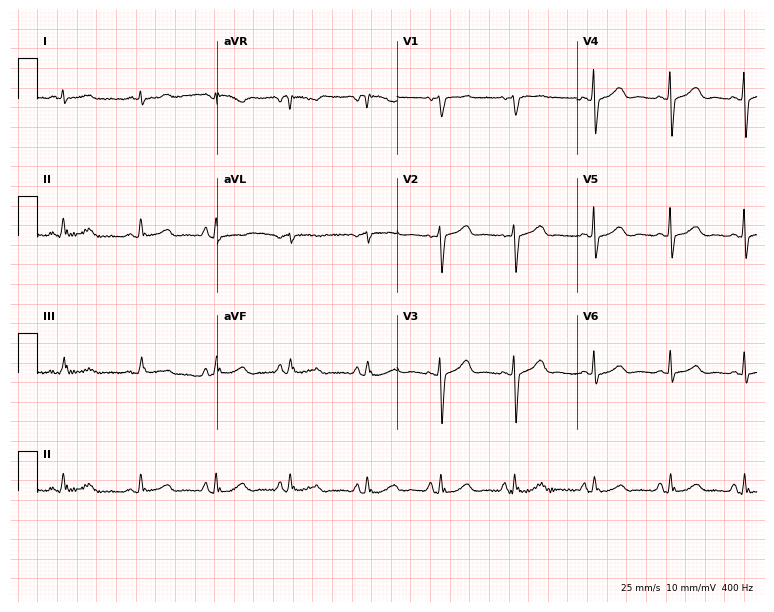
ECG — a man, 77 years old. Screened for six findings — first-degree AV block, right bundle branch block (RBBB), left bundle branch block (LBBB), sinus bradycardia, atrial fibrillation (AF), sinus tachycardia — none is recorded.